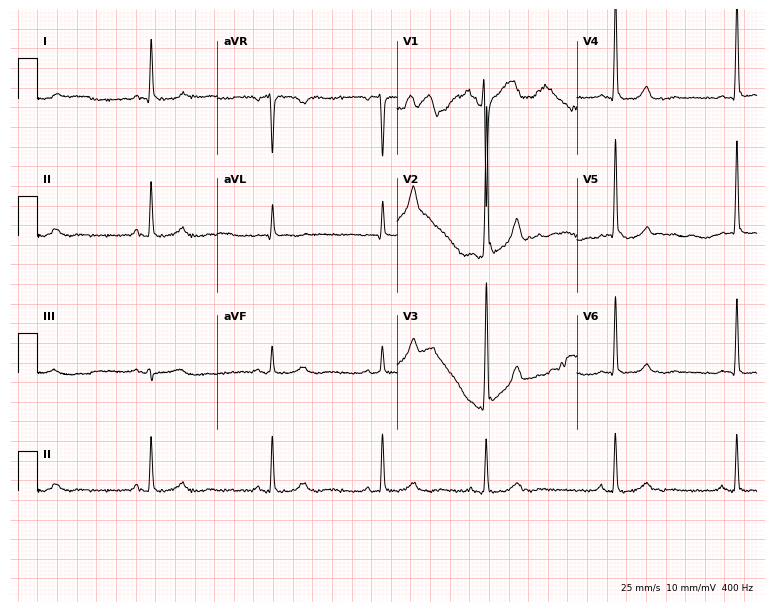
Standard 12-lead ECG recorded from a man, 67 years old (7.3-second recording at 400 Hz). None of these six findings is recorded: first-degree AV block, right bundle branch block, left bundle branch block, sinus bradycardia, atrial fibrillation, sinus tachycardia. Other findings, if any, are not listed.